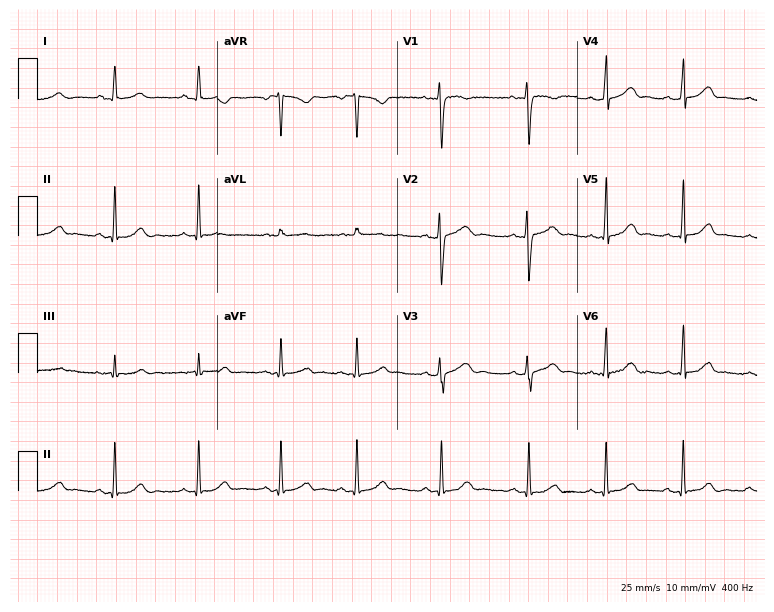
12-lead ECG (7.3-second recording at 400 Hz) from a 20-year-old woman. Labelled as a normal ECG.